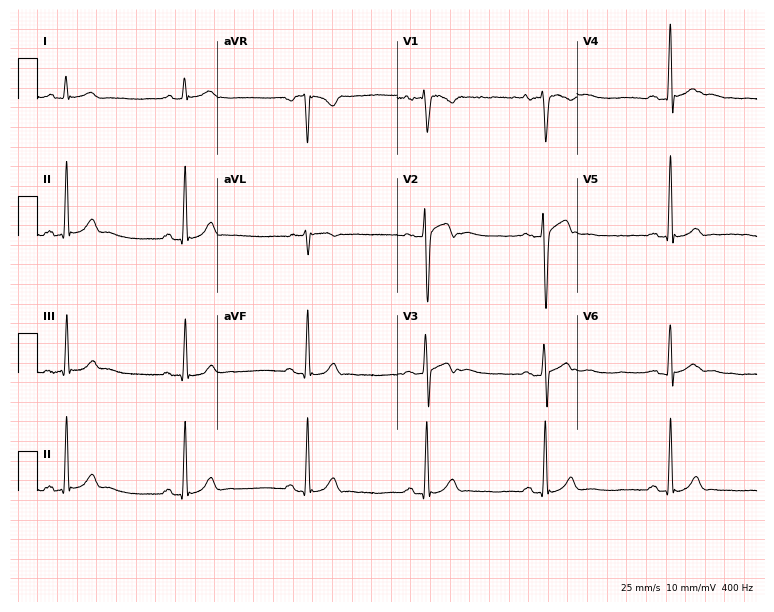
12-lead ECG (7.3-second recording at 400 Hz) from a 22-year-old man. Findings include sinus bradycardia (a sinus rate of 50 beats per minute or less).